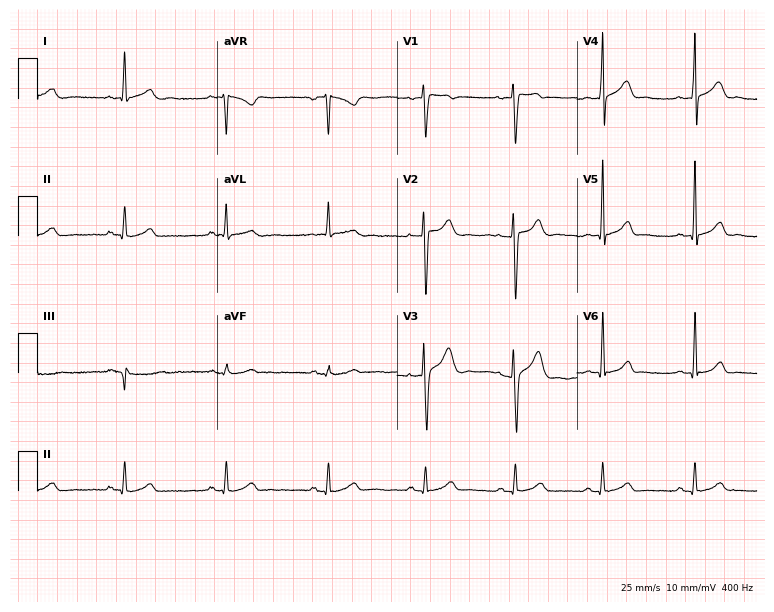
ECG (7.3-second recording at 400 Hz) — a 25-year-old male. Labelled as a normal ECG.